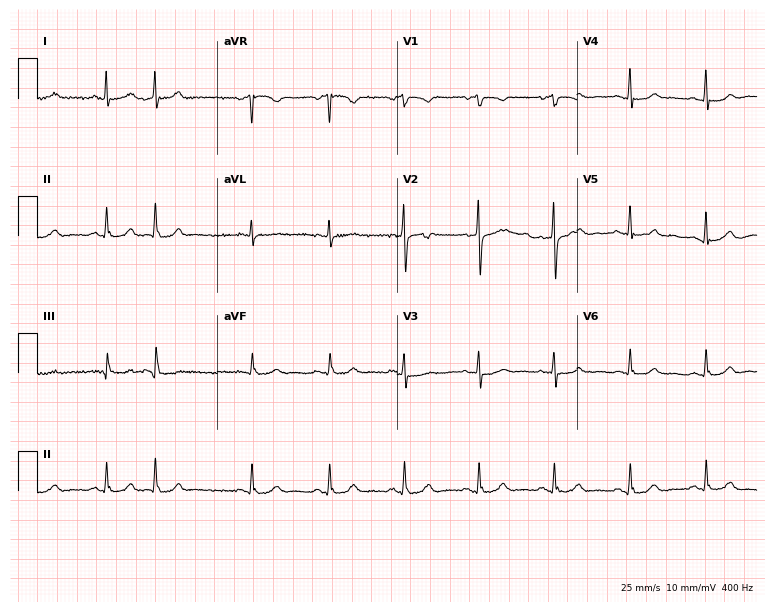
Electrocardiogram (7.3-second recording at 400 Hz), a female patient, 65 years old. Of the six screened findings (first-degree AV block, right bundle branch block (RBBB), left bundle branch block (LBBB), sinus bradycardia, atrial fibrillation (AF), sinus tachycardia), none is recorded. Findings outside these six are not listed.